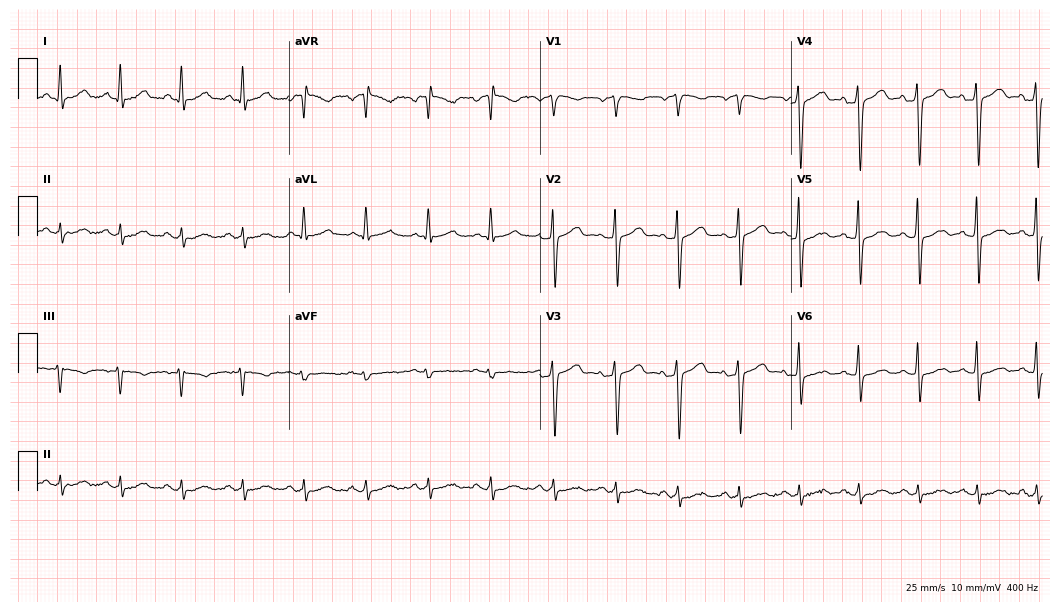
12-lead ECG from a 37-year-old woman (10.2-second recording at 400 Hz). Recorded interpretation: within normal limits.